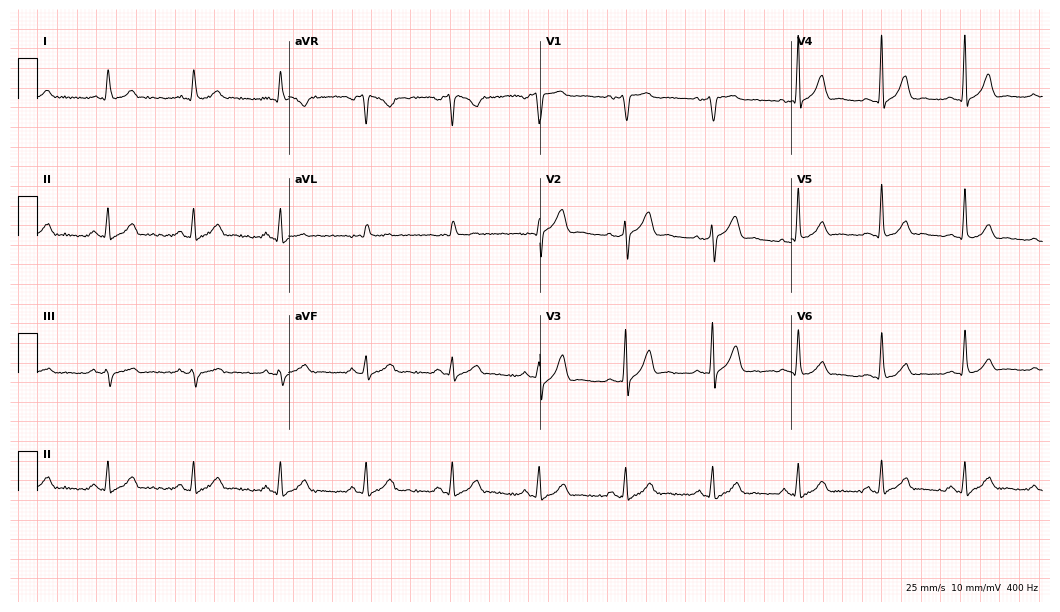
ECG — a male patient, 53 years old. Screened for six findings — first-degree AV block, right bundle branch block, left bundle branch block, sinus bradycardia, atrial fibrillation, sinus tachycardia — none is recorded.